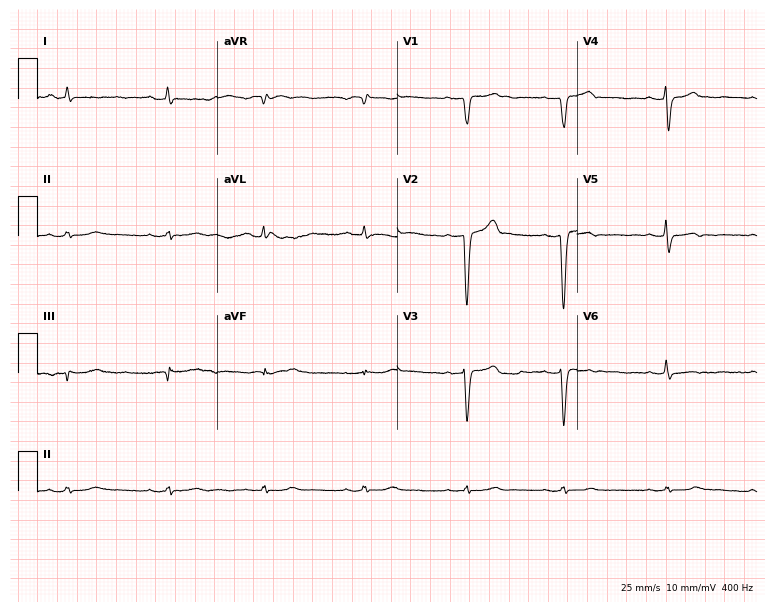
ECG (7.3-second recording at 400 Hz) — a male, 47 years old. Screened for six findings — first-degree AV block, right bundle branch block, left bundle branch block, sinus bradycardia, atrial fibrillation, sinus tachycardia — none is recorded.